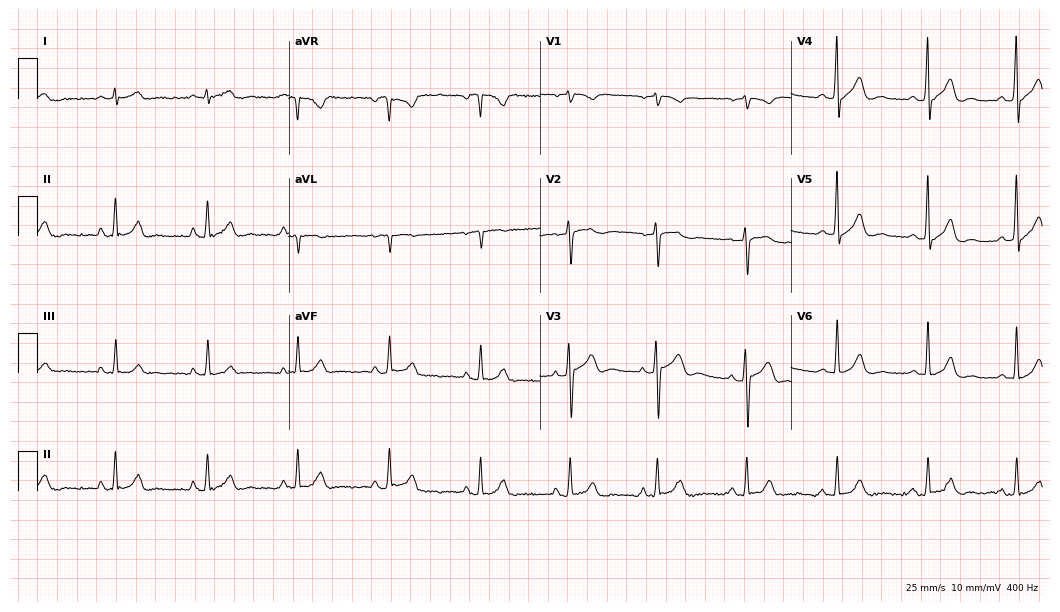
Electrocardiogram, a 48-year-old man. Overall reading on record: normal ECG.